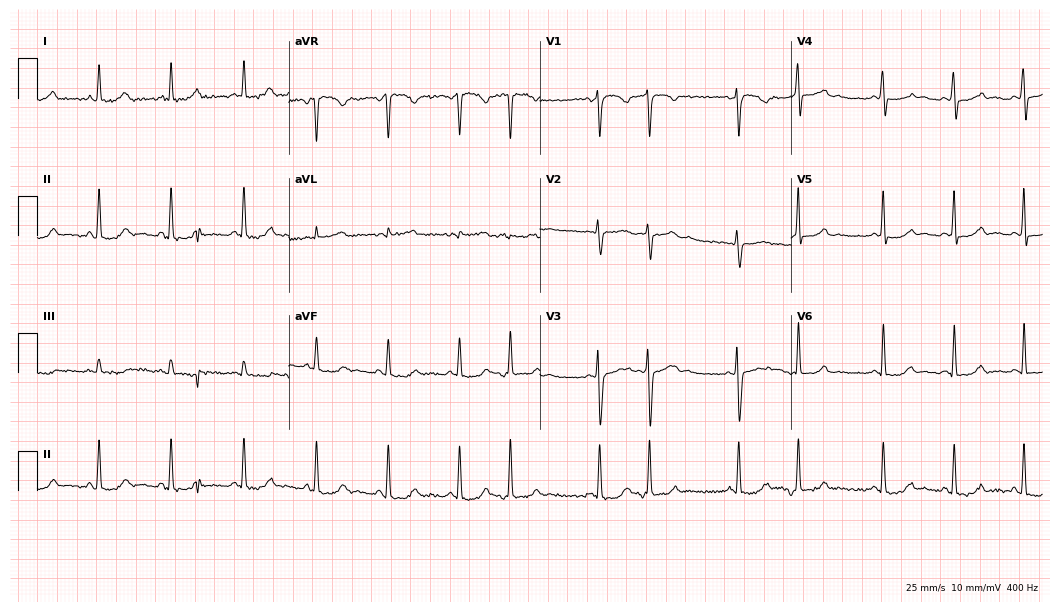
12-lead ECG from a 46-year-old female patient (10.2-second recording at 400 Hz). No first-degree AV block, right bundle branch block (RBBB), left bundle branch block (LBBB), sinus bradycardia, atrial fibrillation (AF) or sinus tachycardia recorded for this tracing.